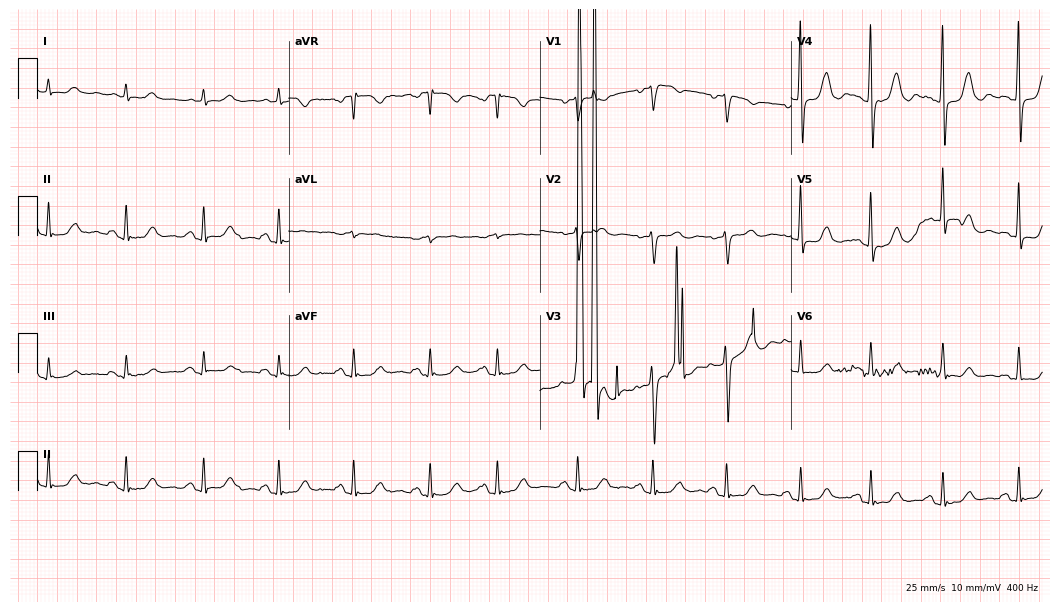
Resting 12-lead electrocardiogram. Patient: a female, 73 years old. None of these six findings is recorded: first-degree AV block, right bundle branch block (RBBB), left bundle branch block (LBBB), sinus bradycardia, atrial fibrillation (AF), sinus tachycardia. Other findings, if any, are not listed.